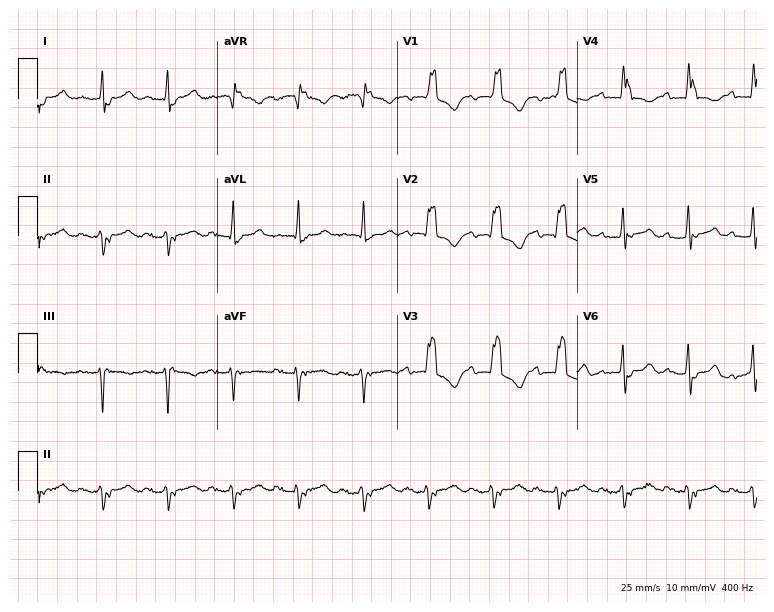
Electrocardiogram, a 69-year-old female. Interpretation includes right bundle branch block.